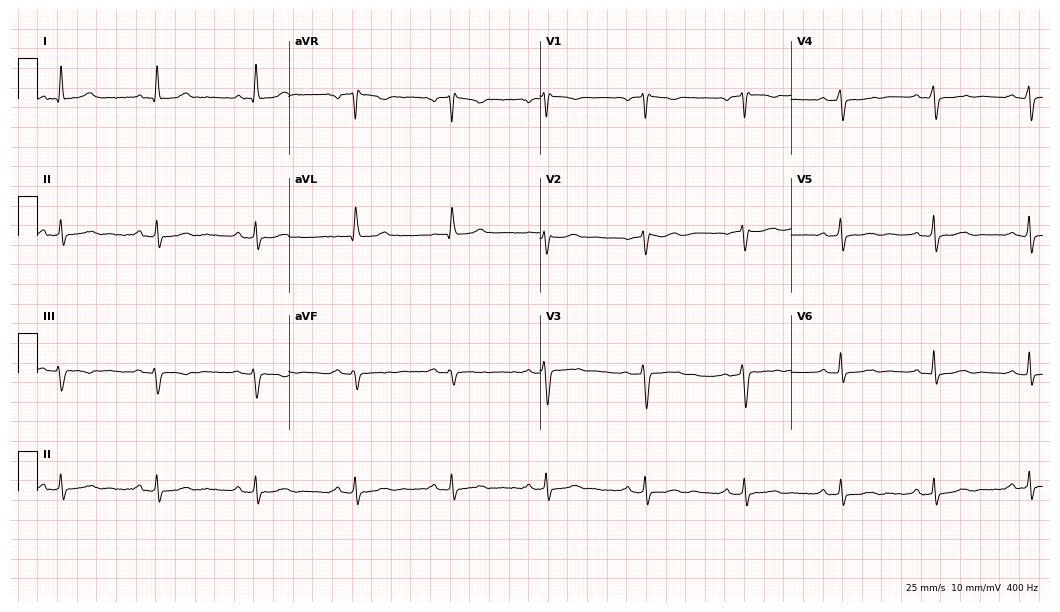
12-lead ECG from a woman, 61 years old (10.2-second recording at 400 Hz). No first-degree AV block, right bundle branch block (RBBB), left bundle branch block (LBBB), sinus bradycardia, atrial fibrillation (AF) or sinus tachycardia recorded for this tracing.